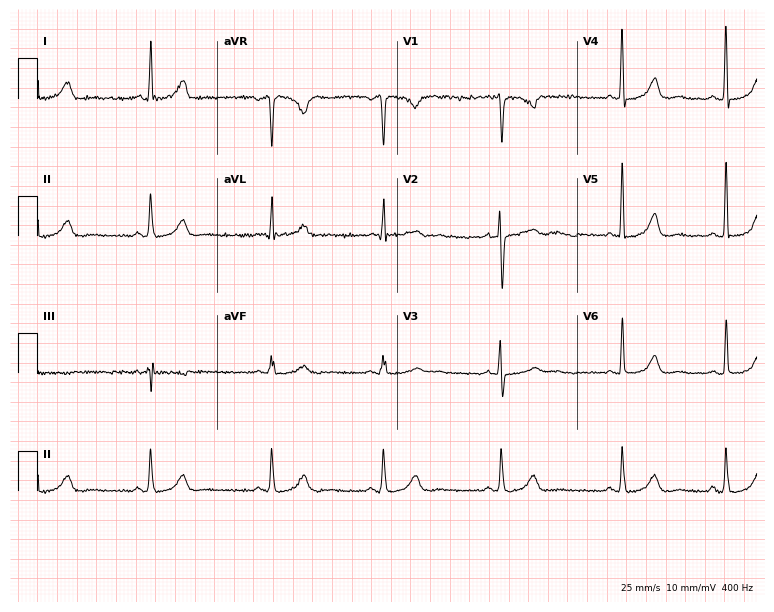
Electrocardiogram (7.3-second recording at 400 Hz), a 37-year-old woman. Of the six screened findings (first-degree AV block, right bundle branch block, left bundle branch block, sinus bradycardia, atrial fibrillation, sinus tachycardia), none is recorded.